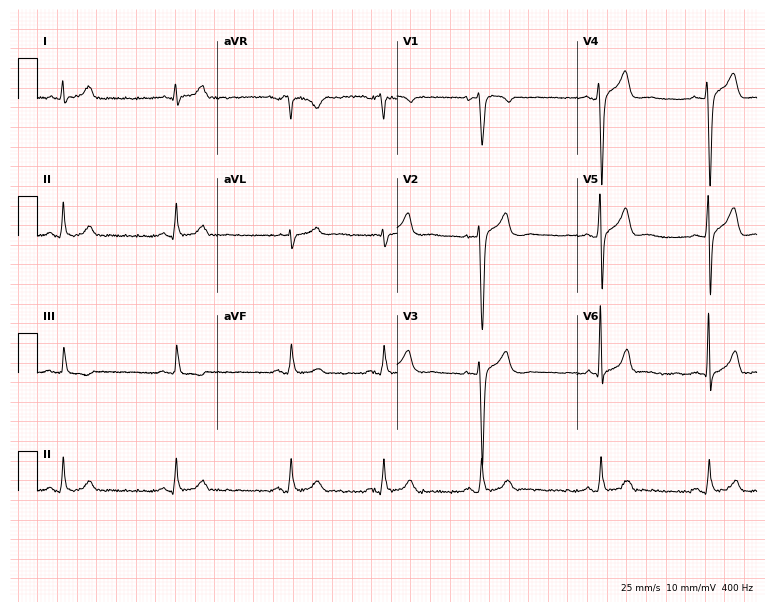
Electrocardiogram (7.3-second recording at 400 Hz), a 39-year-old man. Overall reading on record: normal ECG.